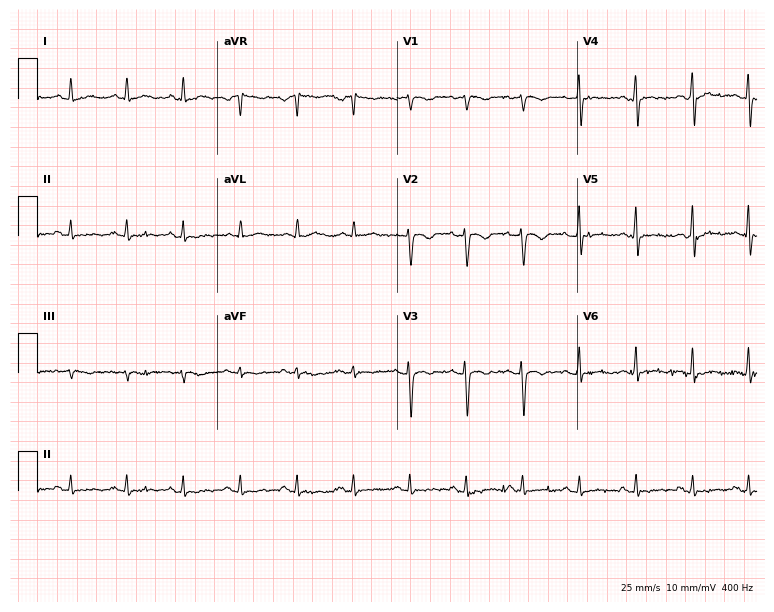
Electrocardiogram, a 42-year-old female. Interpretation includes sinus tachycardia (a sinus rate of 100 beats per minute or more).